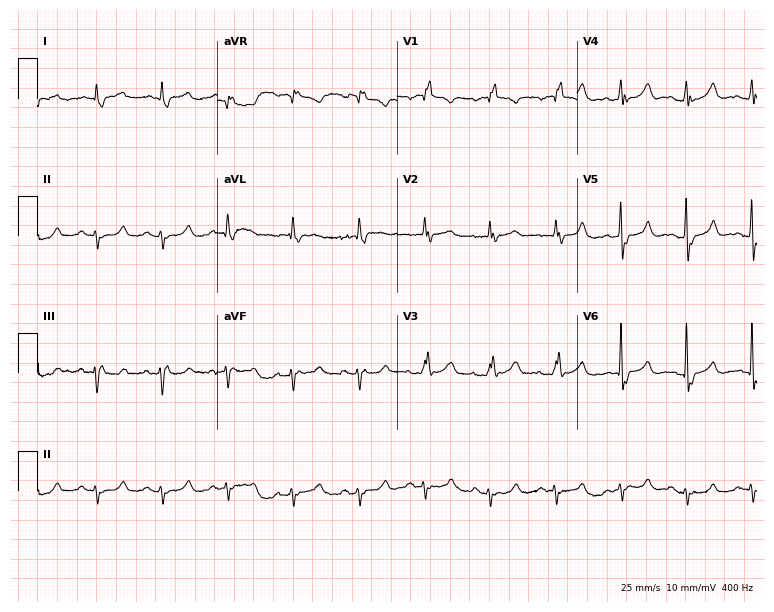
Standard 12-lead ECG recorded from a female, 82 years old (7.3-second recording at 400 Hz). None of these six findings is recorded: first-degree AV block, right bundle branch block, left bundle branch block, sinus bradycardia, atrial fibrillation, sinus tachycardia.